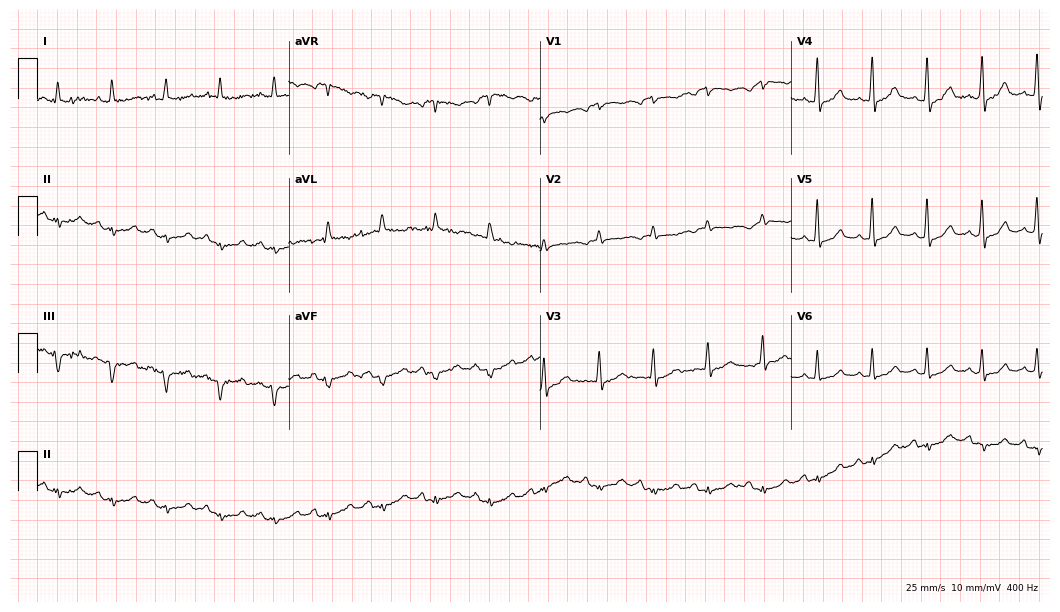
Standard 12-lead ECG recorded from an 84-year-old man (10.2-second recording at 400 Hz). None of these six findings is recorded: first-degree AV block, right bundle branch block (RBBB), left bundle branch block (LBBB), sinus bradycardia, atrial fibrillation (AF), sinus tachycardia.